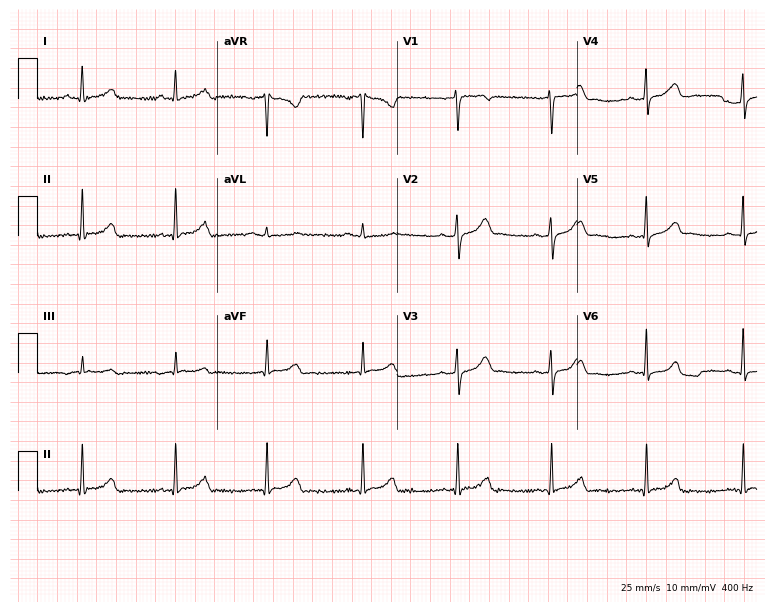
12-lead ECG from a 35-year-old woman. Recorded interpretation: within normal limits.